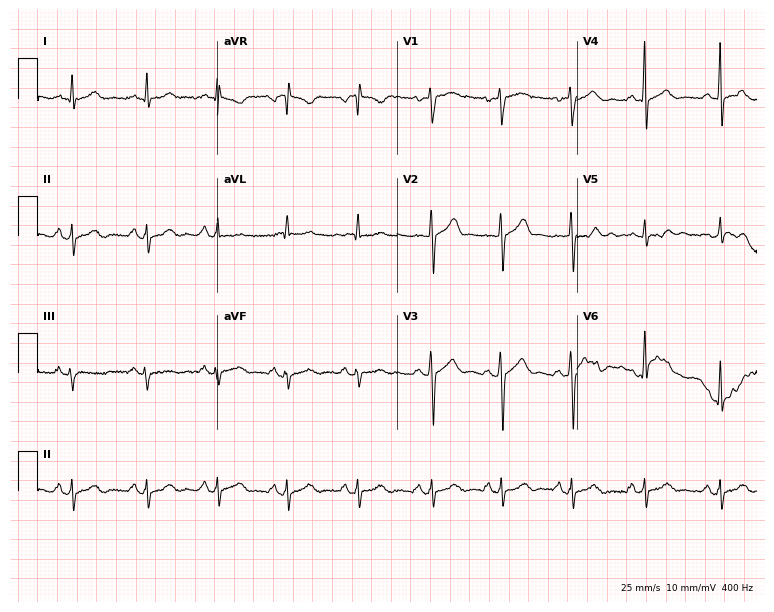
12-lead ECG from a male patient, 51 years old (7.3-second recording at 400 Hz). Recorded interpretation: within normal limits.